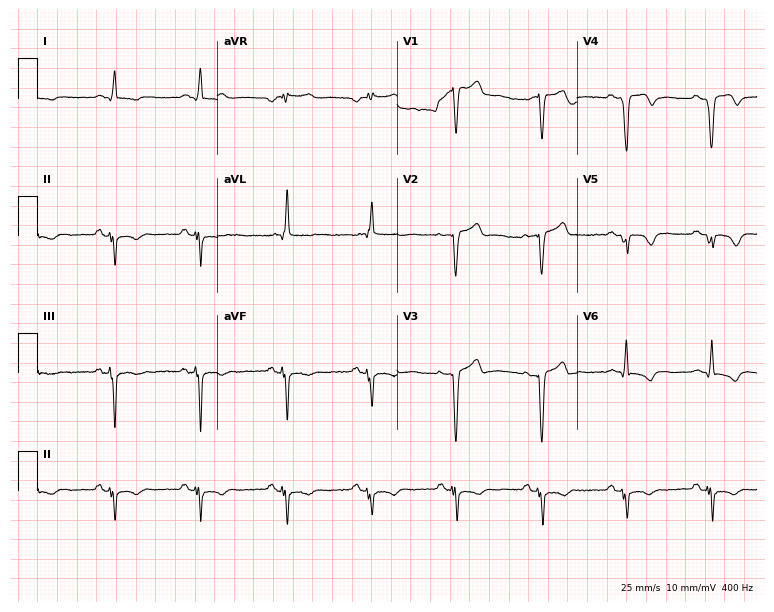
Standard 12-lead ECG recorded from a 67-year-old male. None of these six findings is recorded: first-degree AV block, right bundle branch block, left bundle branch block, sinus bradycardia, atrial fibrillation, sinus tachycardia.